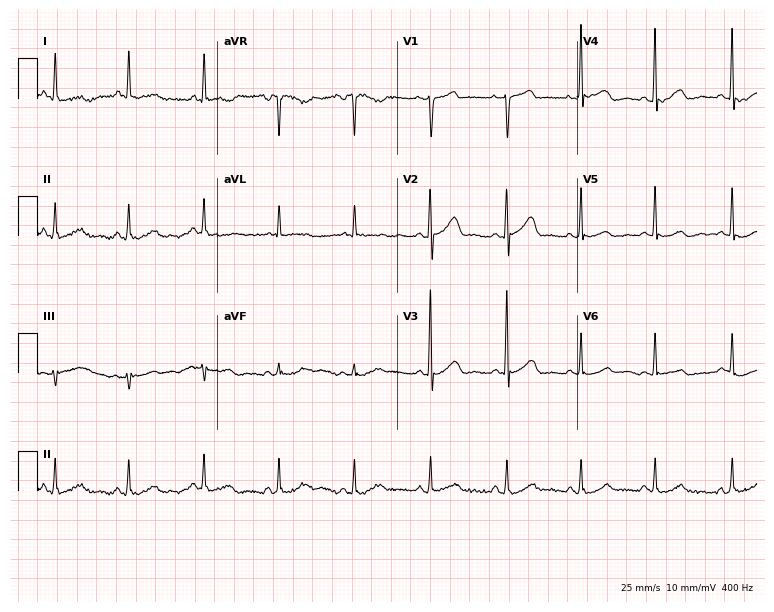
ECG — a 56-year-old female. Screened for six findings — first-degree AV block, right bundle branch block (RBBB), left bundle branch block (LBBB), sinus bradycardia, atrial fibrillation (AF), sinus tachycardia — none is recorded. Findings outside these six are not listed.